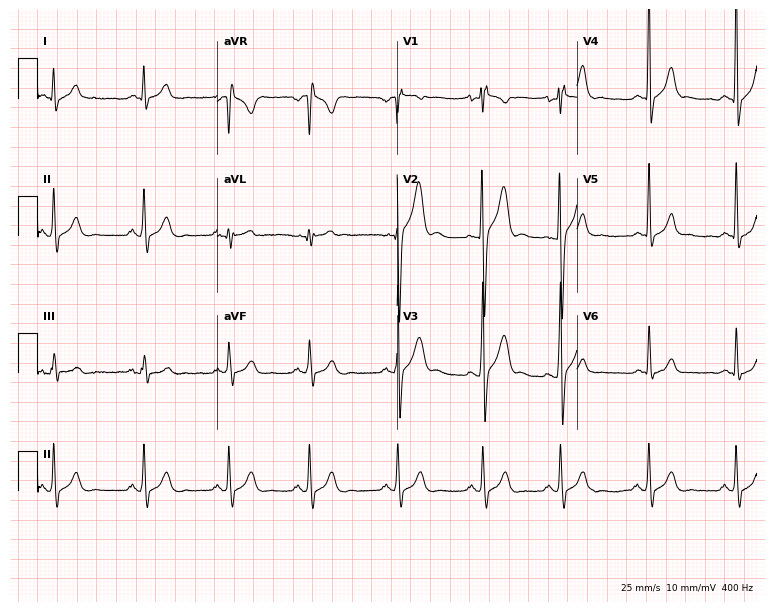
12-lead ECG from a male patient, 17 years old (7.3-second recording at 400 Hz). Recorded interpretation: within normal limits.